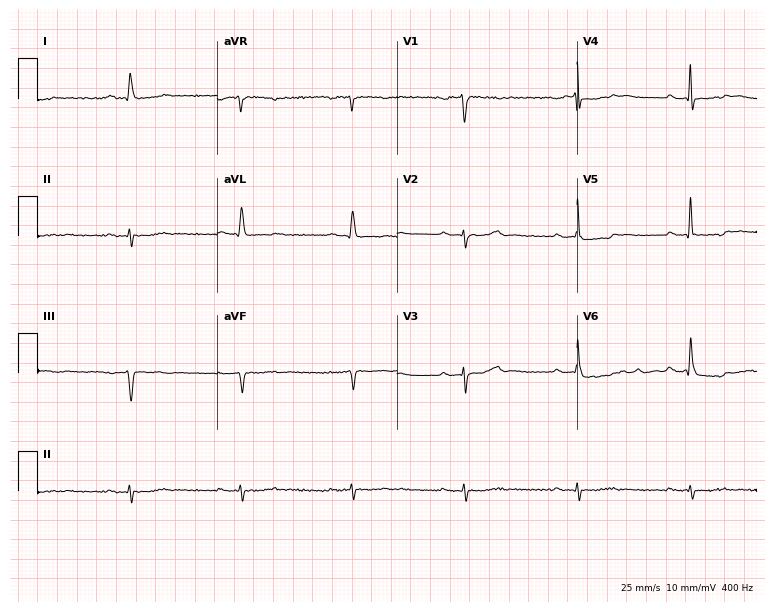
Standard 12-lead ECG recorded from a male, 70 years old (7.3-second recording at 400 Hz). None of these six findings is recorded: first-degree AV block, right bundle branch block (RBBB), left bundle branch block (LBBB), sinus bradycardia, atrial fibrillation (AF), sinus tachycardia. Other findings, if any, are not listed.